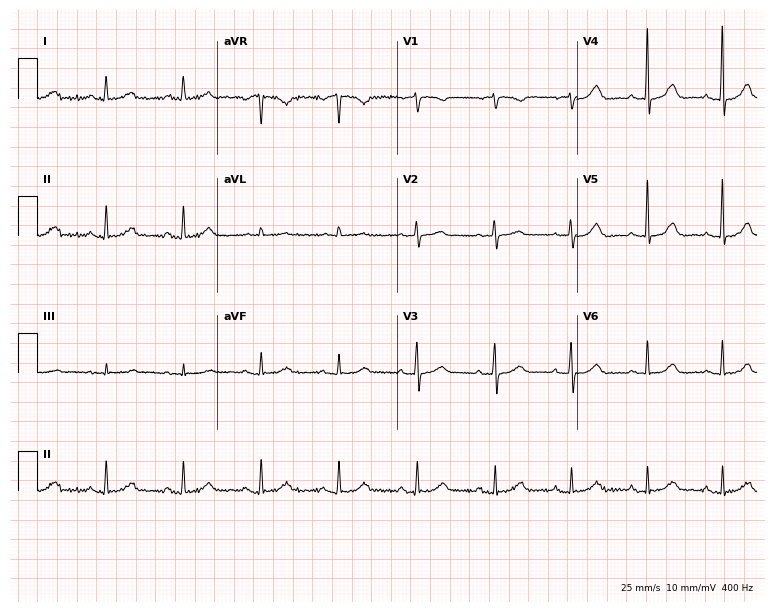
Standard 12-lead ECG recorded from a woman, 79 years old (7.3-second recording at 400 Hz). Read as a normal ECG.